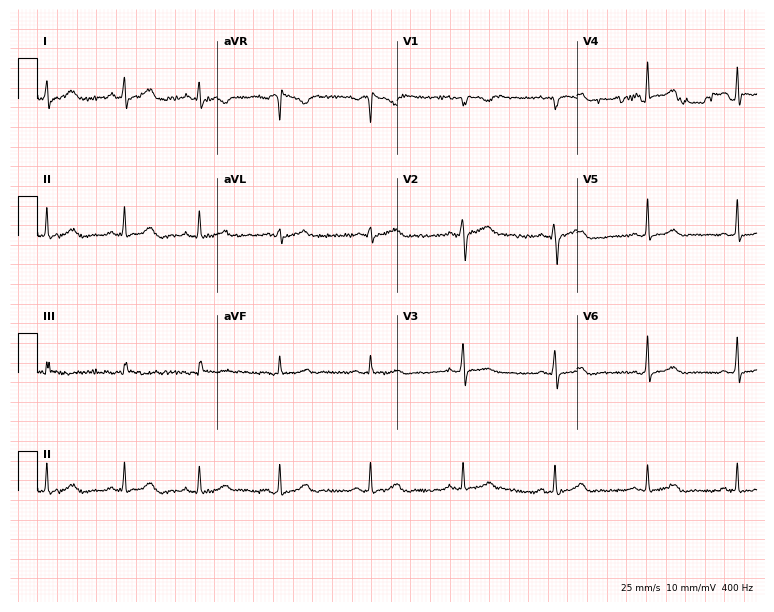
Electrocardiogram, a female patient, 27 years old. Overall reading on record: normal ECG.